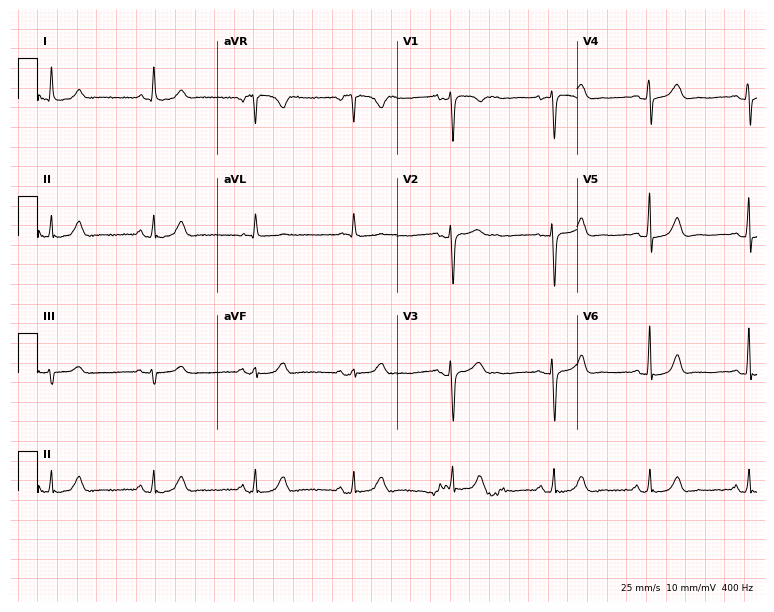
Electrocardiogram, a 34-year-old female patient. Overall reading on record: normal ECG.